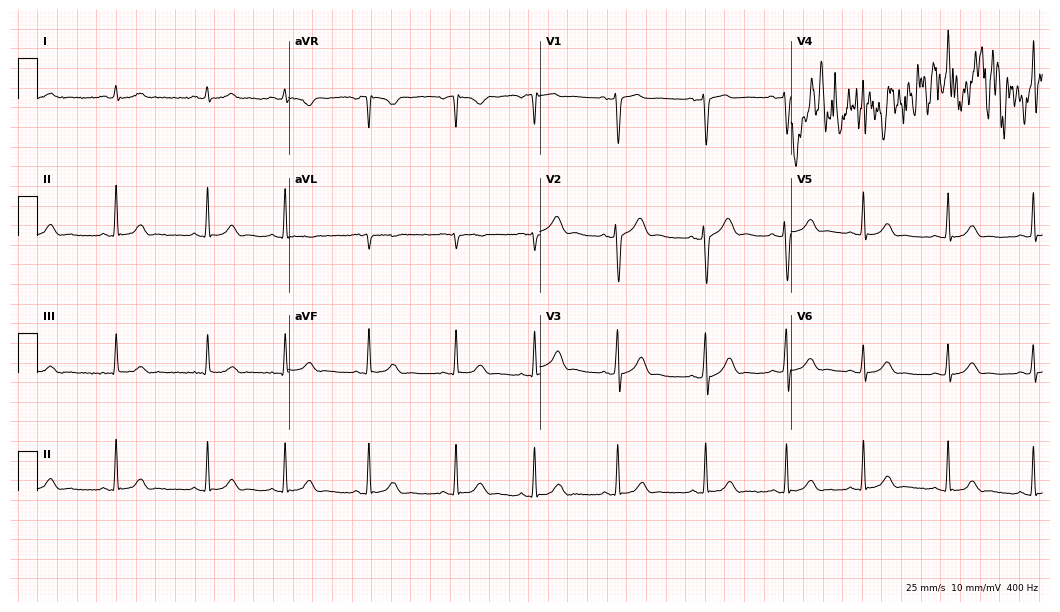
Electrocardiogram, a female, 20 years old. Of the six screened findings (first-degree AV block, right bundle branch block (RBBB), left bundle branch block (LBBB), sinus bradycardia, atrial fibrillation (AF), sinus tachycardia), none is recorded. Only these six findings were labelled.